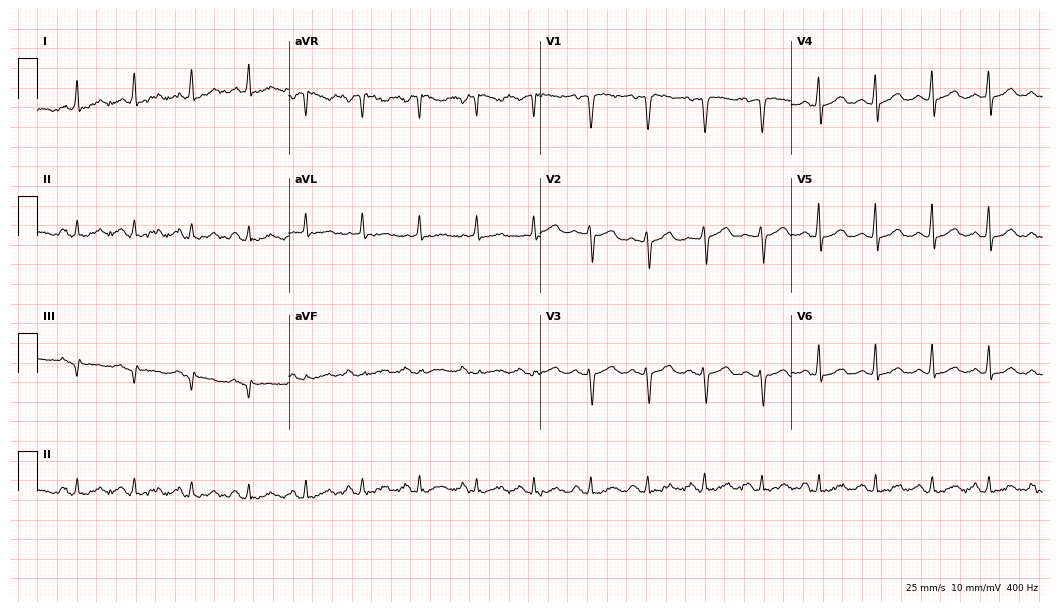
Electrocardiogram (10.2-second recording at 400 Hz), a female patient, 59 years old. Interpretation includes sinus tachycardia (a sinus rate of 100 beats per minute or more).